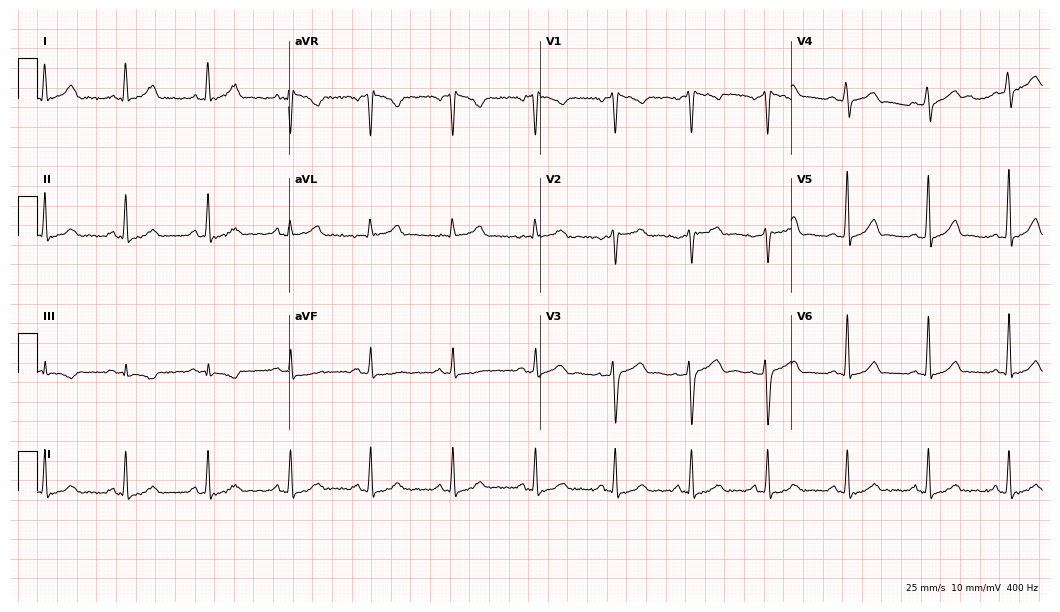
Standard 12-lead ECG recorded from a male, 31 years old (10.2-second recording at 400 Hz). Read as a normal ECG.